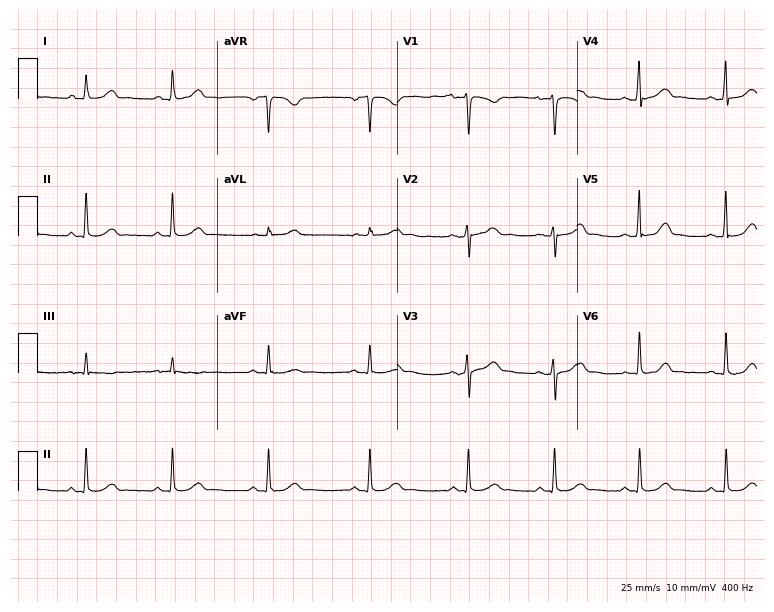
ECG (7.3-second recording at 400 Hz) — a 34-year-old female. Labelled as a normal ECG.